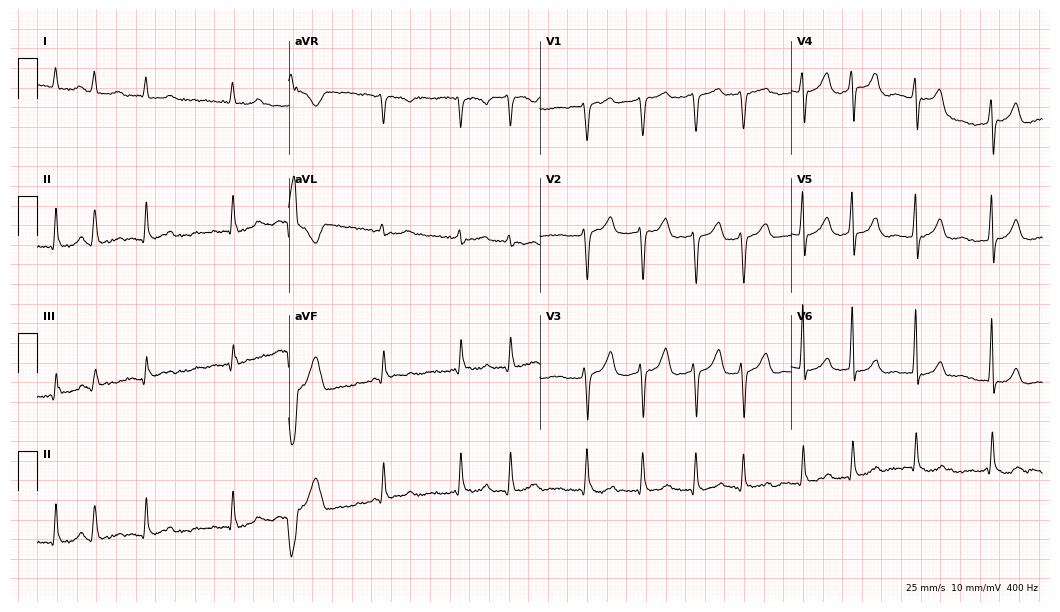
Electrocardiogram, a 73-year-old male patient. Of the six screened findings (first-degree AV block, right bundle branch block, left bundle branch block, sinus bradycardia, atrial fibrillation, sinus tachycardia), none is recorded.